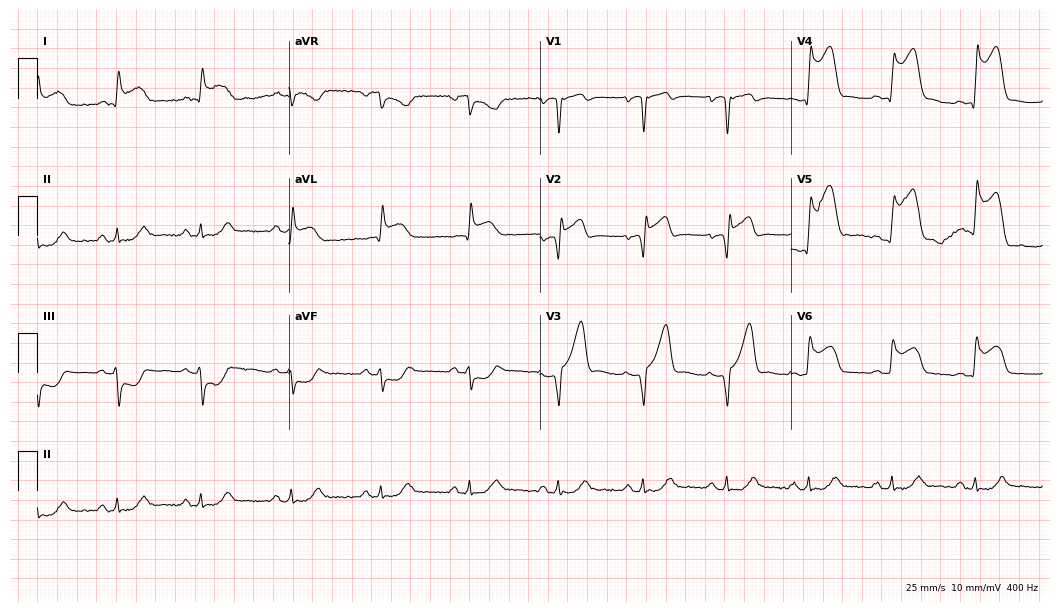
Electrocardiogram (10.2-second recording at 400 Hz), a 66-year-old man. Of the six screened findings (first-degree AV block, right bundle branch block (RBBB), left bundle branch block (LBBB), sinus bradycardia, atrial fibrillation (AF), sinus tachycardia), none is recorded.